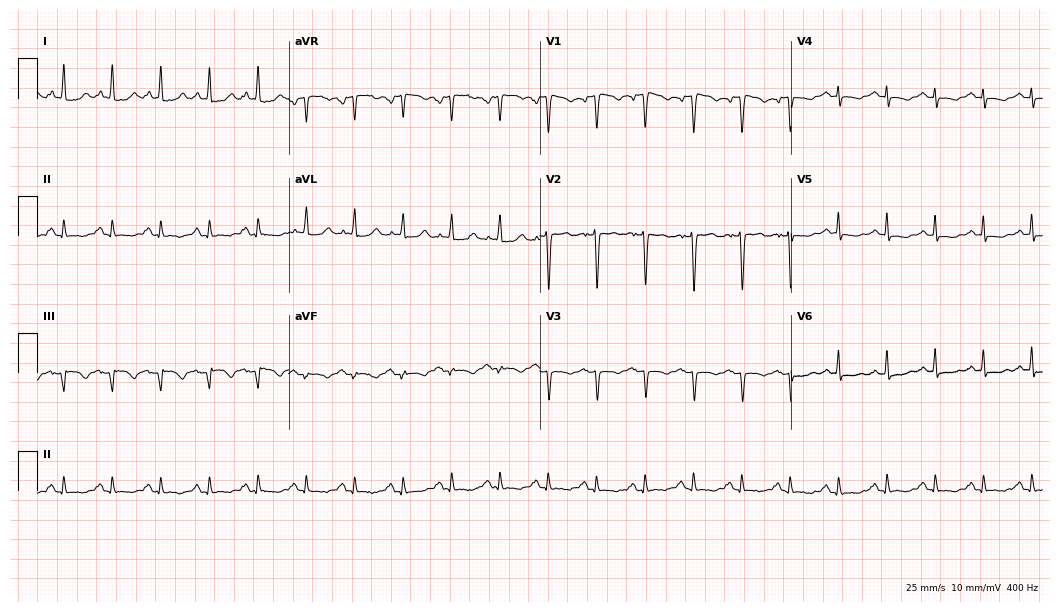
12-lead ECG (10.2-second recording at 400 Hz) from a female patient, 75 years old. Screened for six findings — first-degree AV block, right bundle branch block, left bundle branch block, sinus bradycardia, atrial fibrillation, sinus tachycardia — none is recorded.